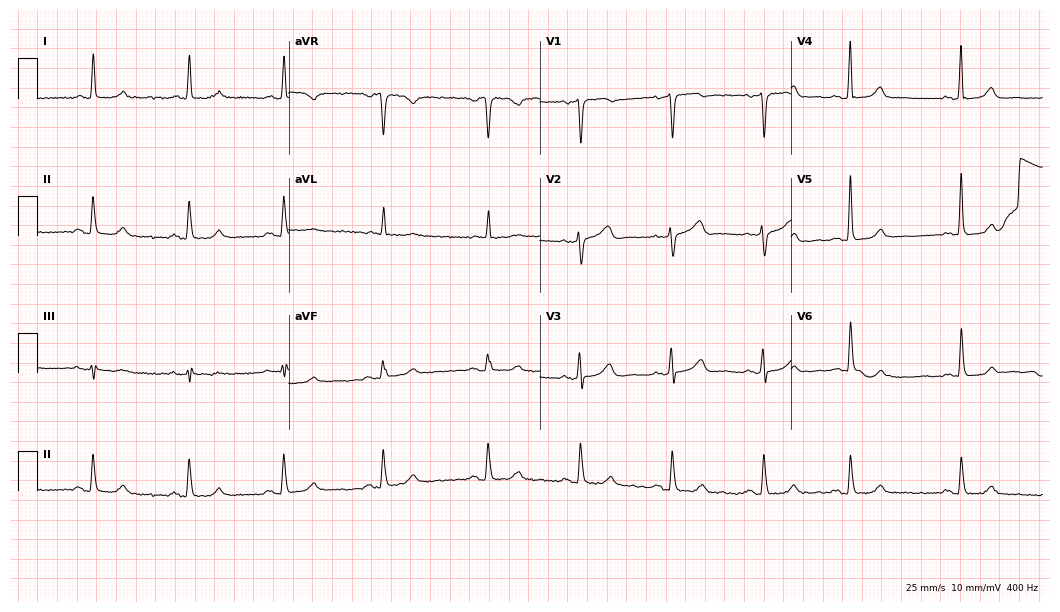
12-lead ECG from a 71-year-old woman (10.2-second recording at 400 Hz). Recorded interpretation: within normal limits.